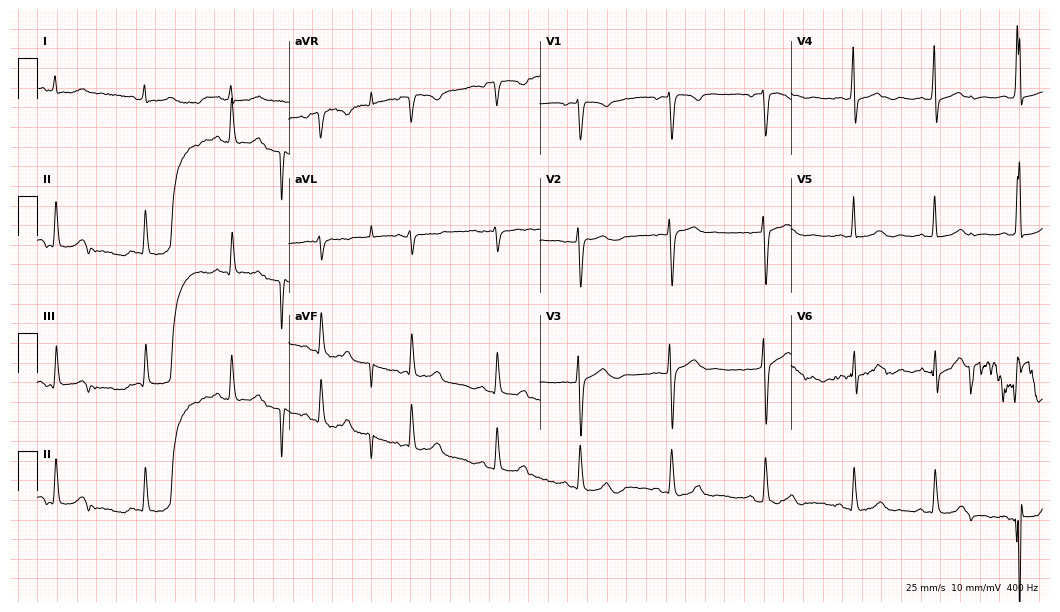
12-lead ECG from a 27-year-old woman. Recorded interpretation: within normal limits.